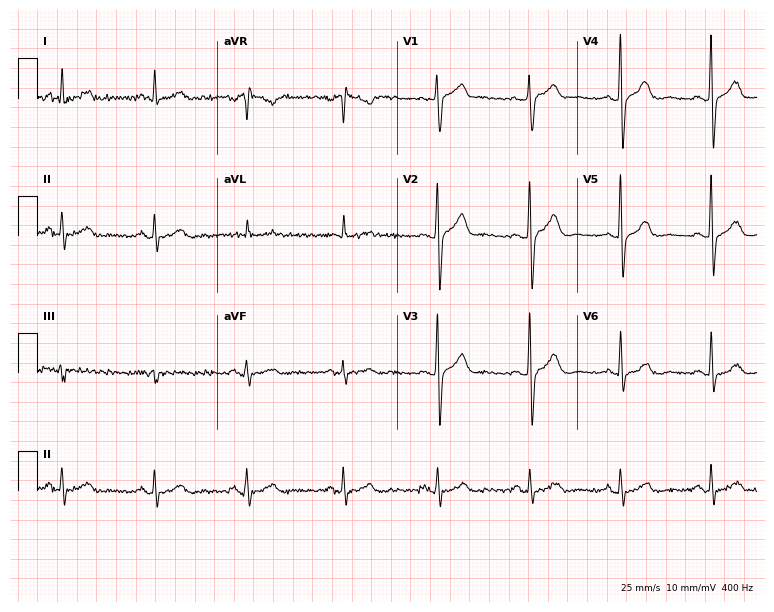
ECG (7.3-second recording at 400 Hz) — a 43-year-old male. Labelled as a normal ECG.